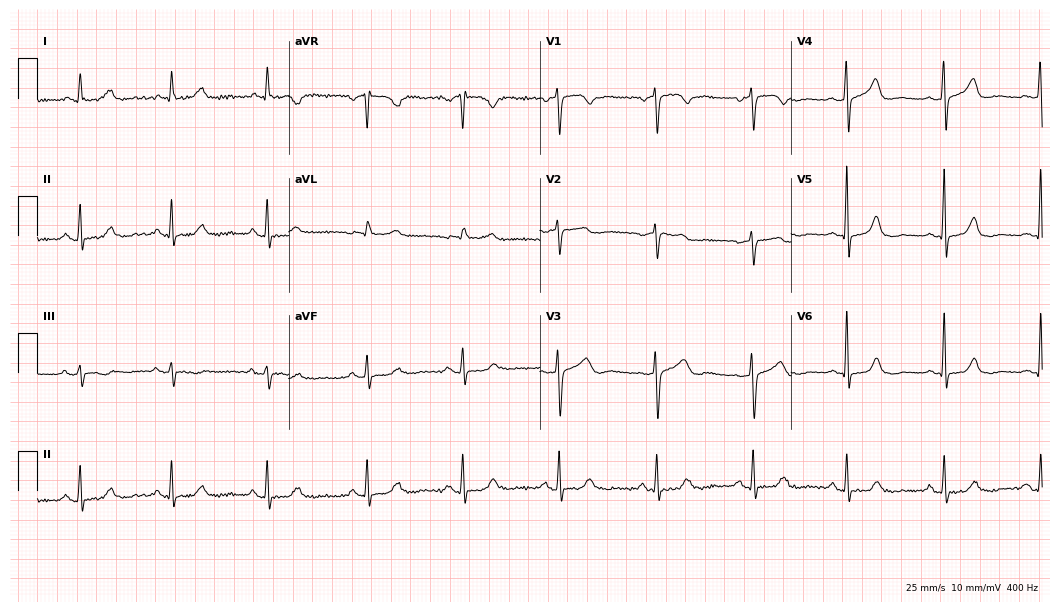
Electrocardiogram (10.2-second recording at 400 Hz), a female, 76 years old. Overall reading on record: normal ECG.